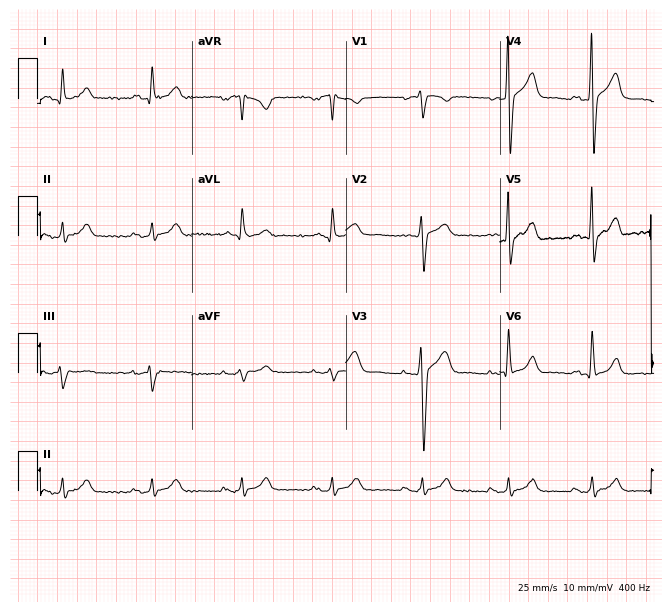
Resting 12-lead electrocardiogram (6.3-second recording at 400 Hz). Patient: a man, 54 years old. Read as a normal ECG.